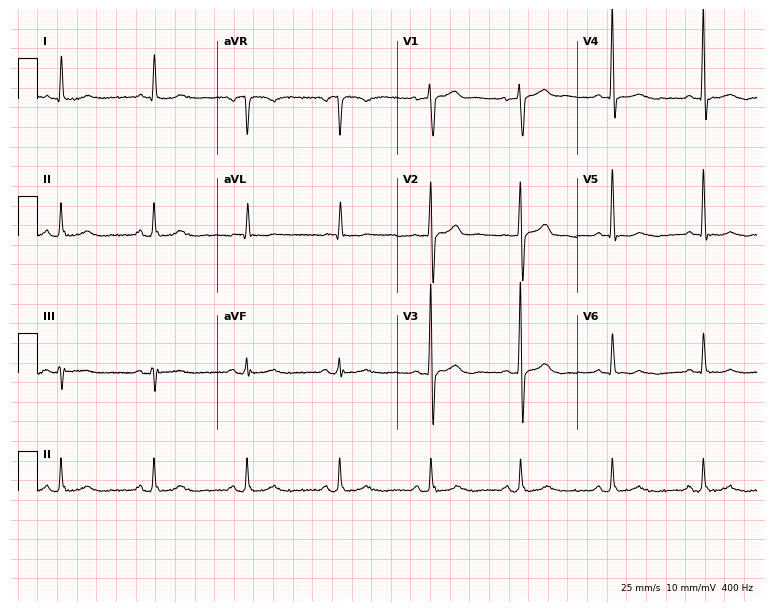
12-lead ECG (7.3-second recording at 400 Hz) from a man, 74 years old. Screened for six findings — first-degree AV block, right bundle branch block, left bundle branch block, sinus bradycardia, atrial fibrillation, sinus tachycardia — none is recorded.